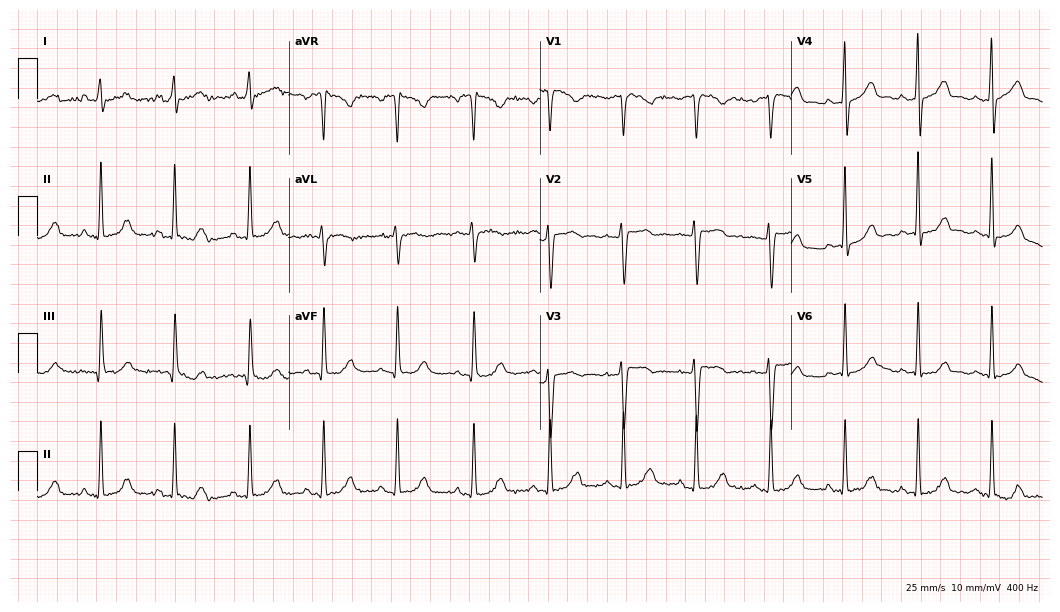
Standard 12-lead ECG recorded from a 37-year-old female. Read as a normal ECG.